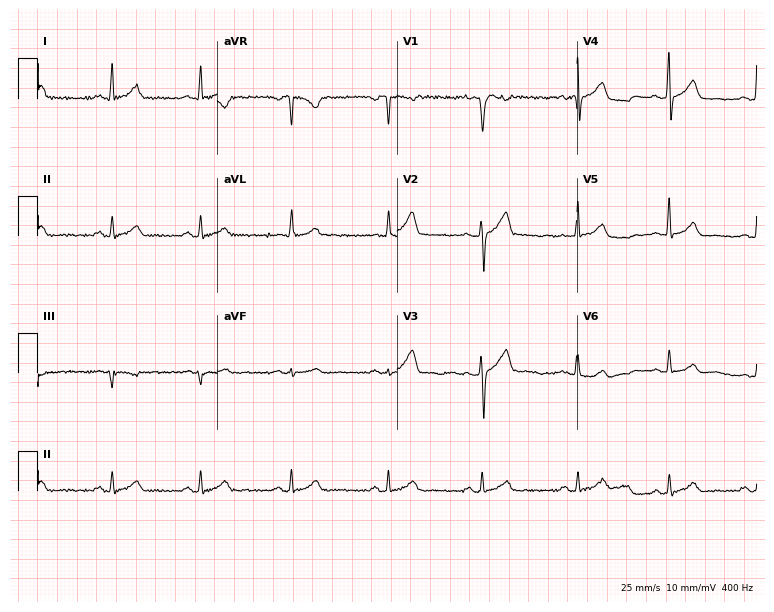
Resting 12-lead electrocardiogram (7.3-second recording at 400 Hz). Patient: a male, 45 years old. Read as a normal ECG.